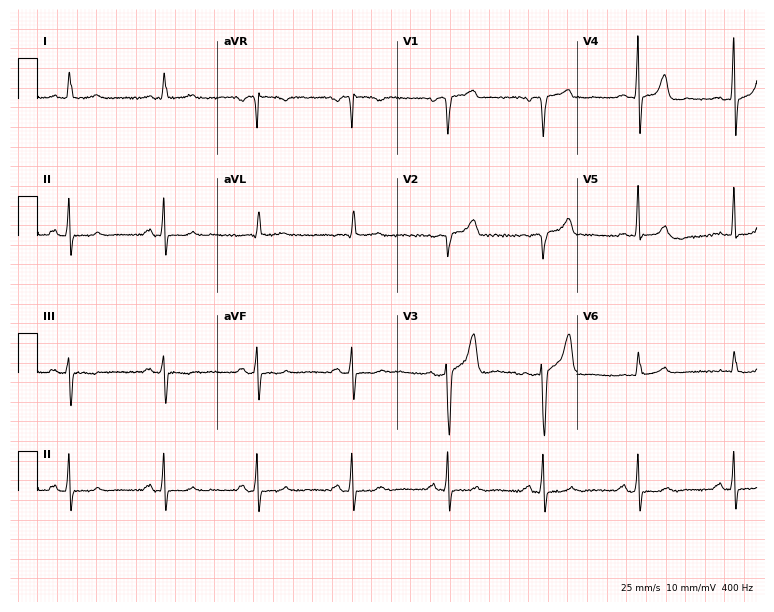
ECG — a male patient, 66 years old. Screened for six findings — first-degree AV block, right bundle branch block, left bundle branch block, sinus bradycardia, atrial fibrillation, sinus tachycardia — none is recorded. Other findings, if any, are not listed.